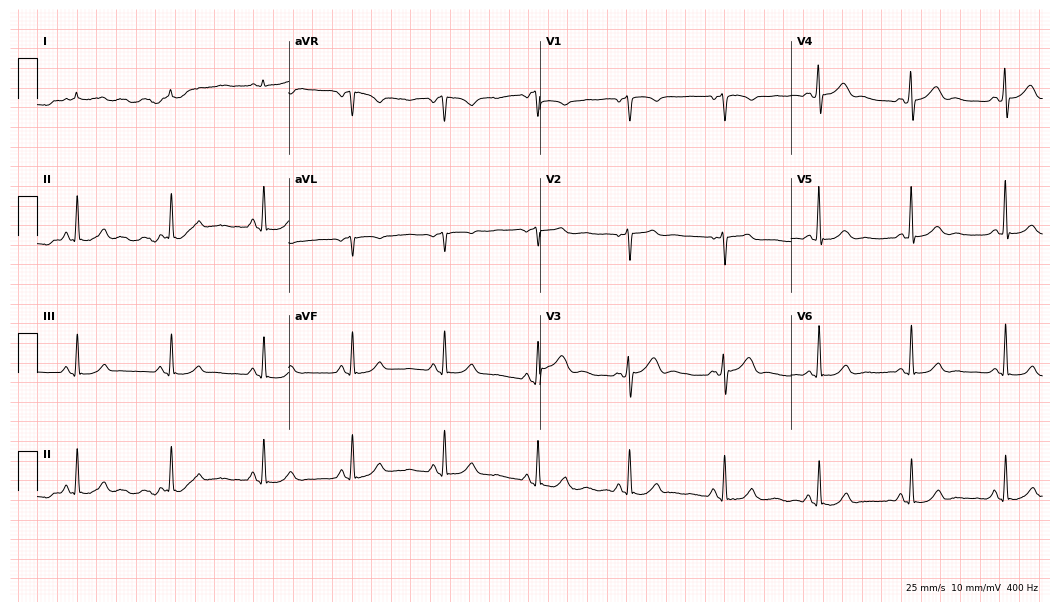
Electrocardiogram, a male patient, 76 years old. Overall reading on record: normal ECG.